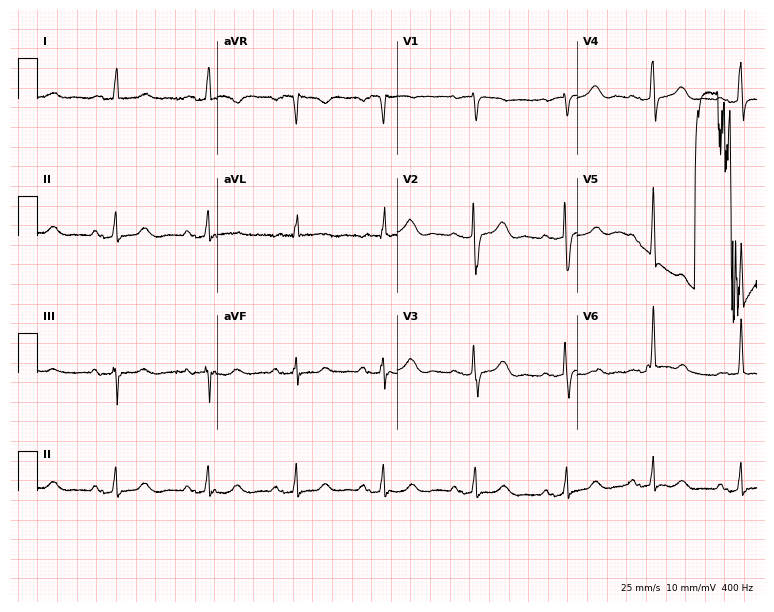
ECG — an 84-year-old female patient. Screened for six findings — first-degree AV block, right bundle branch block, left bundle branch block, sinus bradycardia, atrial fibrillation, sinus tachycardia — none is recorded. Findings outside these six are not listed.